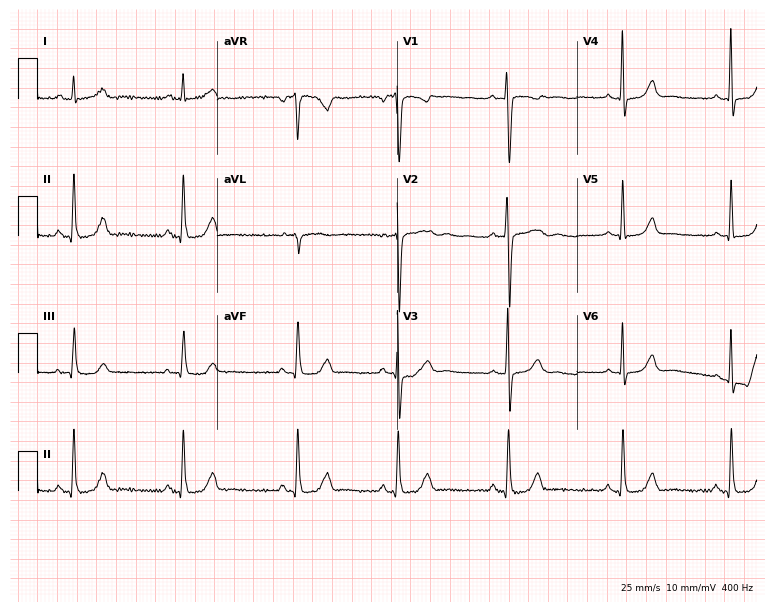
Resting 12-lead electrocardiogram (7.3-second recording at 400 Hz). Patient: a 38-year-old woman. None of these six findings is recorded: first-degree AV block, right bundle branch block (RBBB), left bundle branch block (LBBB), sinus bradycardia, atrial fibrillation (AF), sinus tachycardia. Other findings, if any, are not listed.